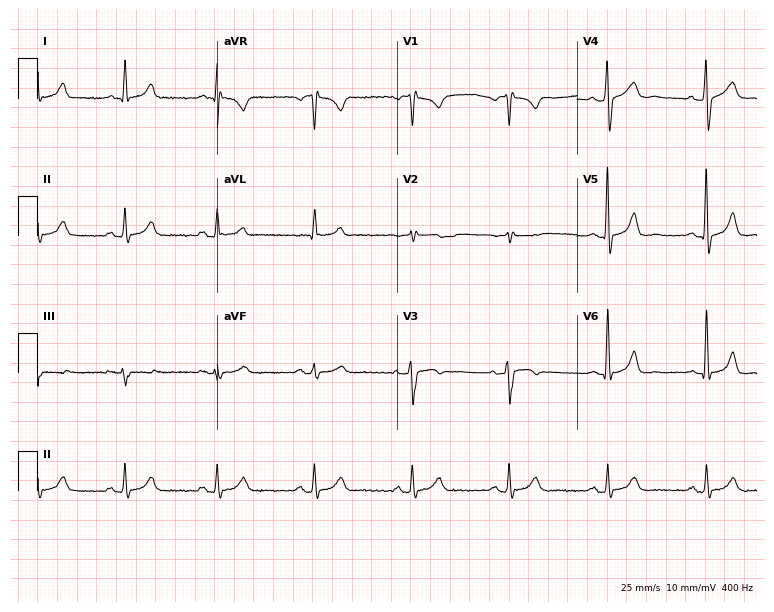
ECG — a 58-year-old male patient. Screened for six findings — first-degree AV block, right bundle branch block, left bundle branch block, sinus bradycardia, atrial fibrillation, sinus tachycardia — none is recorded. Findings outside these six are not listed.